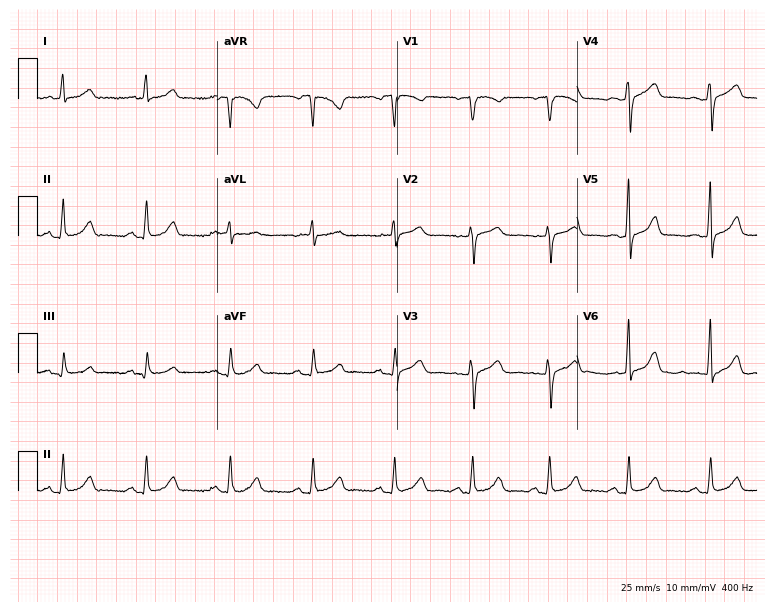
Resting 12-lead electrocardiogram (7.3-second recording at 400 Hz). Patient: a female, 52 years old. Read as a normal ECG.